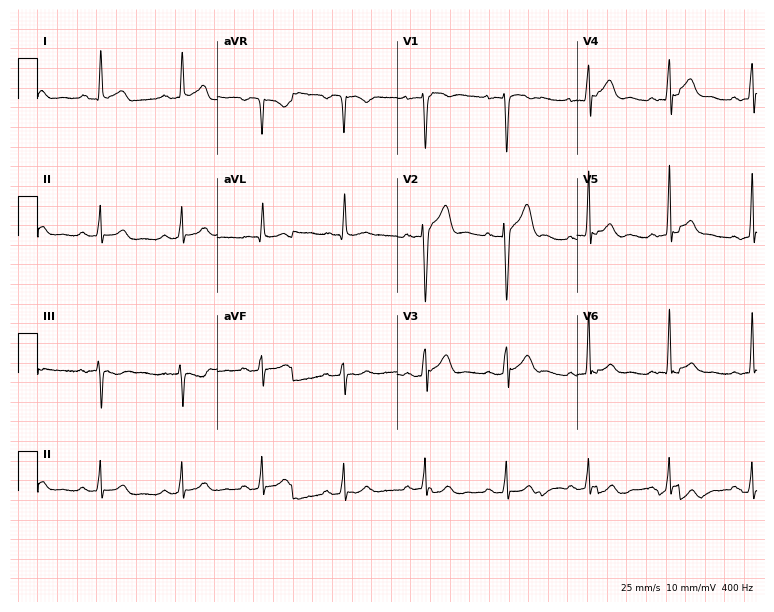
Resting 12-lead electrocardiogram (7.3-second recording at 400 Hz). Patient: a male, 41 years old. None of these six findings is recorded: first-degree AV block, right bundle branch block, left bundle branch block, sinus bradycardia, atrial fibrillation, sinus tachycardia. Other findings, if any, are not listed.